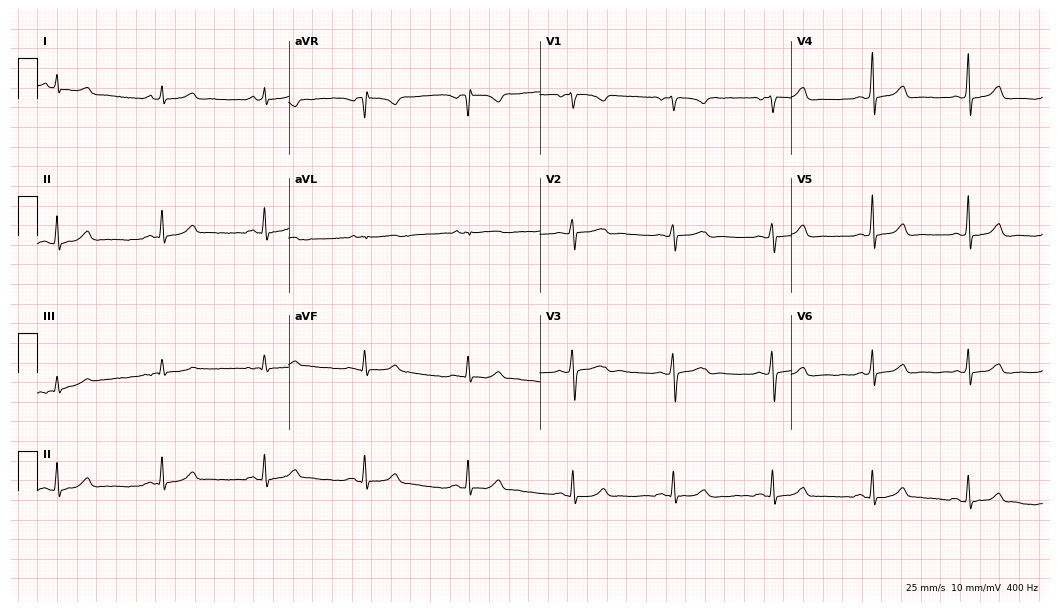
Standard 12-lead ECG recorded from a 21-year-old woman. None of these six findings is recorded: first-degree AV block, right bundle branch block, left bundle branch block, sinus bradycardia, atrial fibrillation, sinus tachycardia. Only these six findings were labelled.